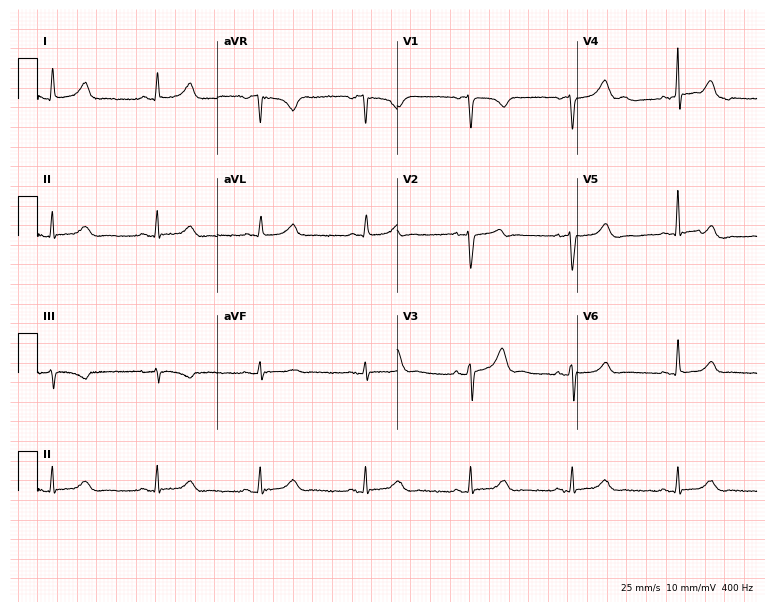
12-lead ECG (7.3-second recording at 400 Hz) from a female, 56 years old. Labelled as a normal ECG.